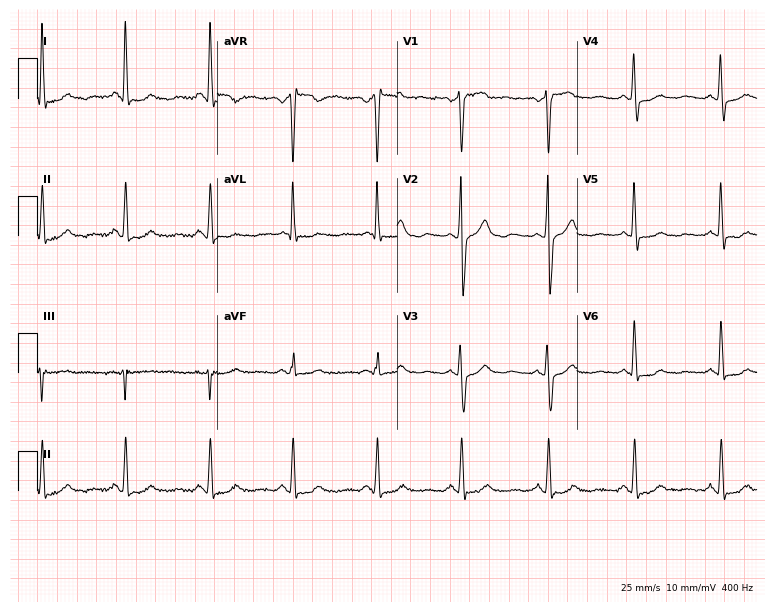
Electrocardiogram, a female, 64 years old. Overall reading on record: normal ECG.